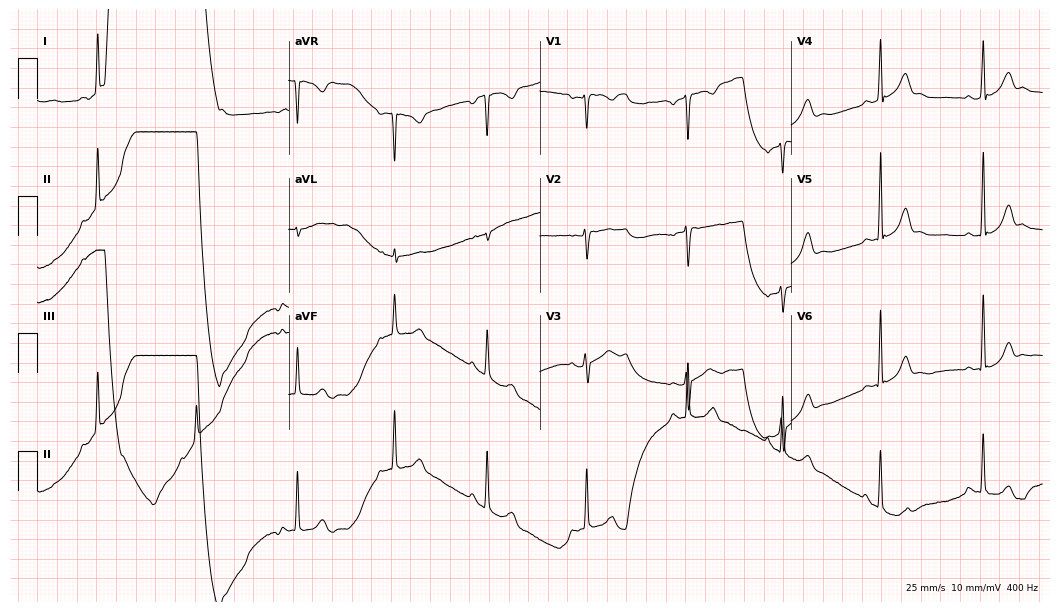
Standard 12-lead ECG recorded from an 18-year-old female (10.2-second recording at 400 Hz). None of these six findings is recorded: first-degree AV block, right bundle branch block, left bundle branch block, sinus bradycardia, atrial fibrillation, sinus tachycardia. Findings outside these six are not listed.